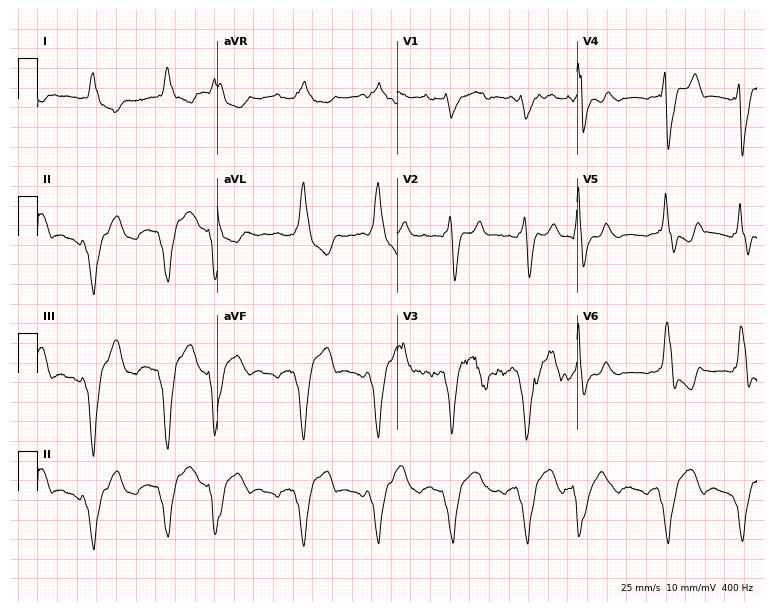
Electrocardiogram, a 50-year-old man. Of the six screened findings (first-degree AV block, right bundle branch block, left bundle branch block, sinus bradycardia, atrial fibrillation, sinus tachycardia), none is recorded.